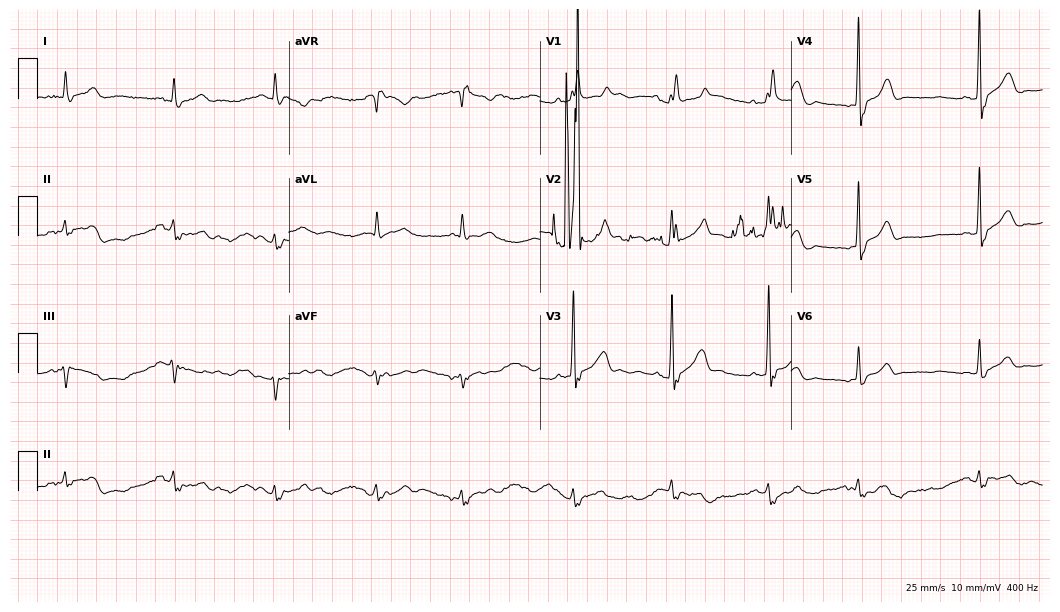
Standard 12-lead ECG recorded from a man, 82 years old (10.2-second recording at 400 Hz). None of these six findings is recorded: first-degree AV block, right bundle branch block (RBBB), left bundle branch block (LBBB), sinus bradycardia, atrial fibrillation (AF), sinus tachycardia.